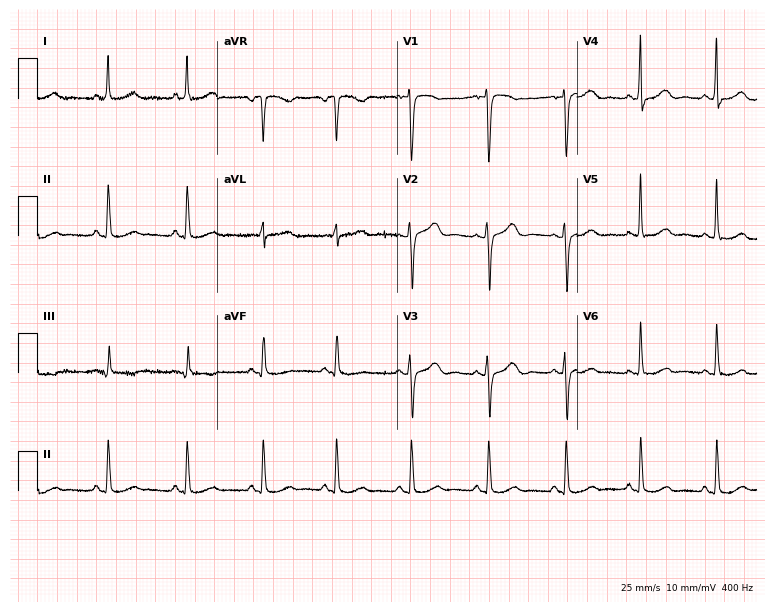
12-lead ECG (7.3-second recording at 400 Hz) from a woman, 59 years old. Labelled as a normal ECG.